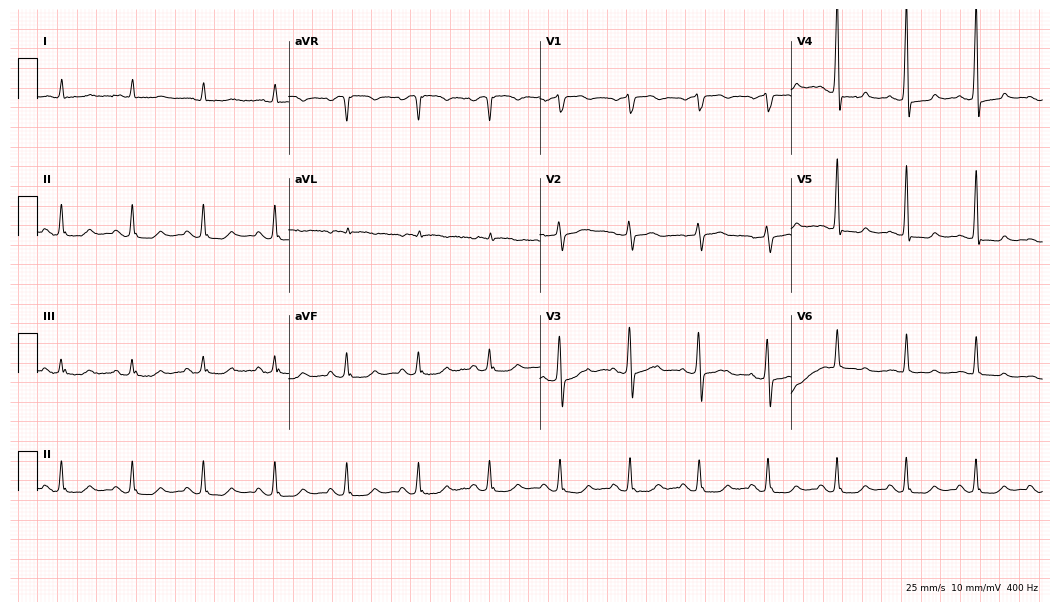
Standard 12-lead ECG recorded from a female, 79 years old (10.2-second recording at 400 Hz). None of these six findings is recorded: first-degree AV block, right bundle branch block, left bundle branch block, sinus bradycardia, atrial fibrillation, sinus tachycardia. Other findings, if any, are not listed.